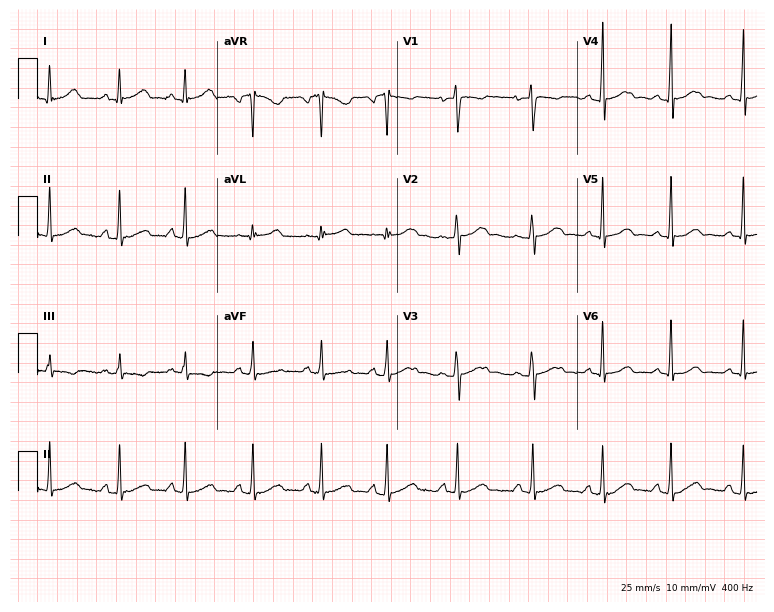
12-lead ECG from a female patient, 26 years old (7.3-second recording at 400 Hz). No first-degree AV block, right bundle branch block, left bundle branch block, sinus bradycardia, atrial fibrillation or sinus tachycardia recorded for this tracing. Other findings, if any, are not listed.